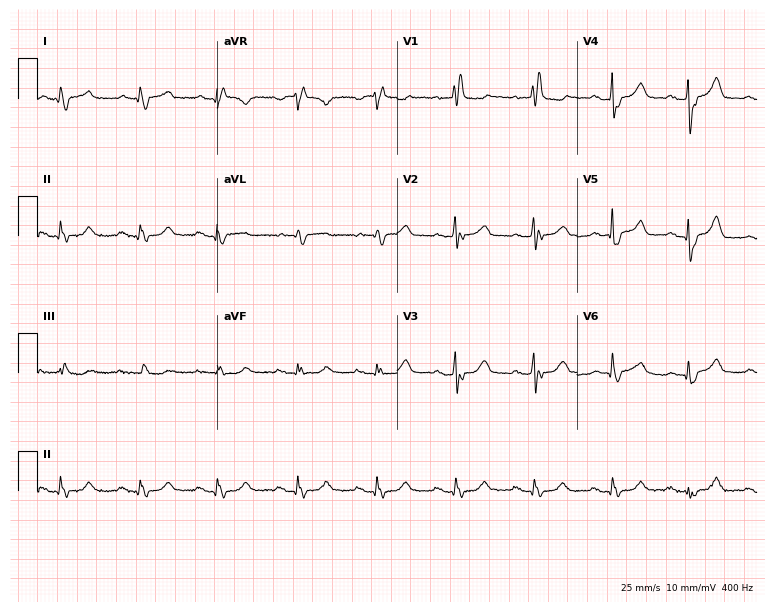
12-lead ECG from a female patient, 73 years old. Shows right bundle branch block (RBBB).